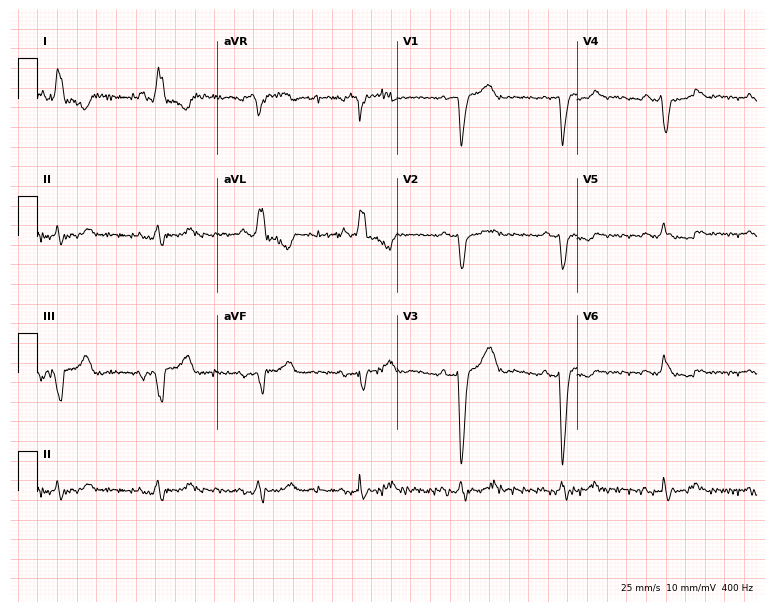
12-lead ECG from a 67-year-old female. Shows left bundle branch block (LBBB).